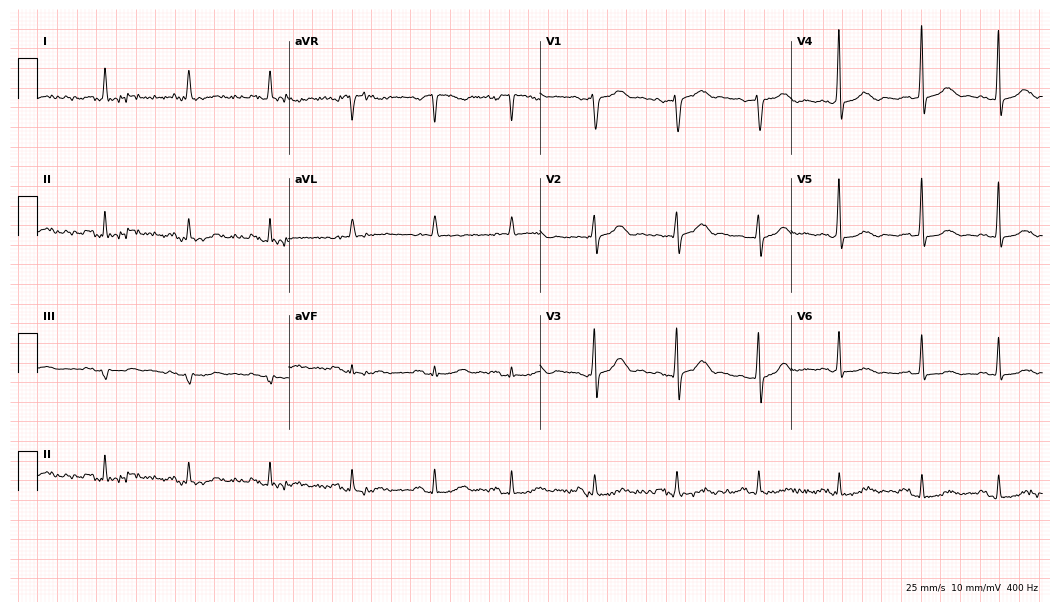
12-lead ECG from a female patient, 79 years old. Labelled as a normal ECG.